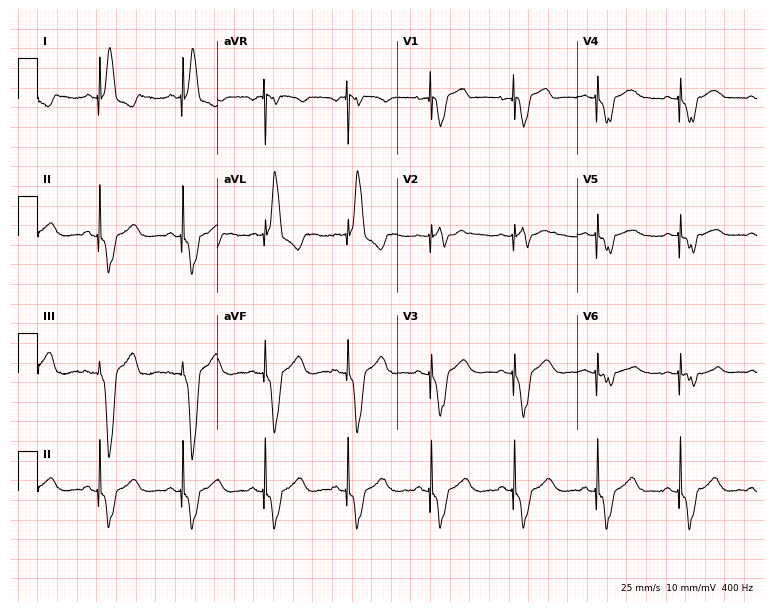
12-lead ECG (7.3-second recording at 400 Hz) from a female, 73 years old. Screened for six findings — first-degree AV block, right bundle branch block, left bundle branch block, sinus bradycardia, atrial fibrillation, sinus tachycardia — none is recorded.